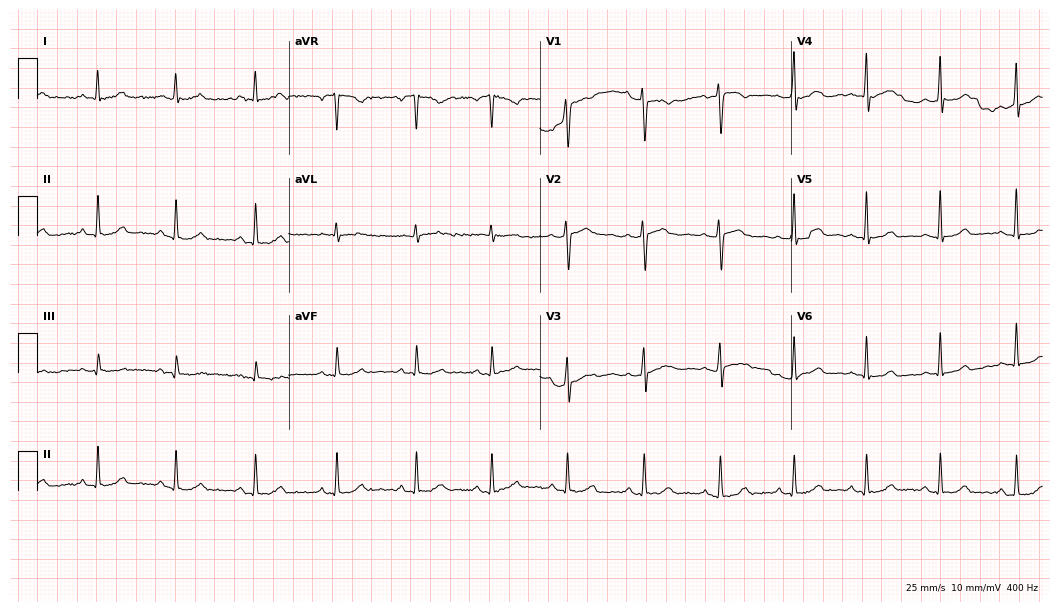
12-lead ECG from a female patient, 42 years old (10.2-second recording at 400 Hz). Recorded interpretation: within normal limits.